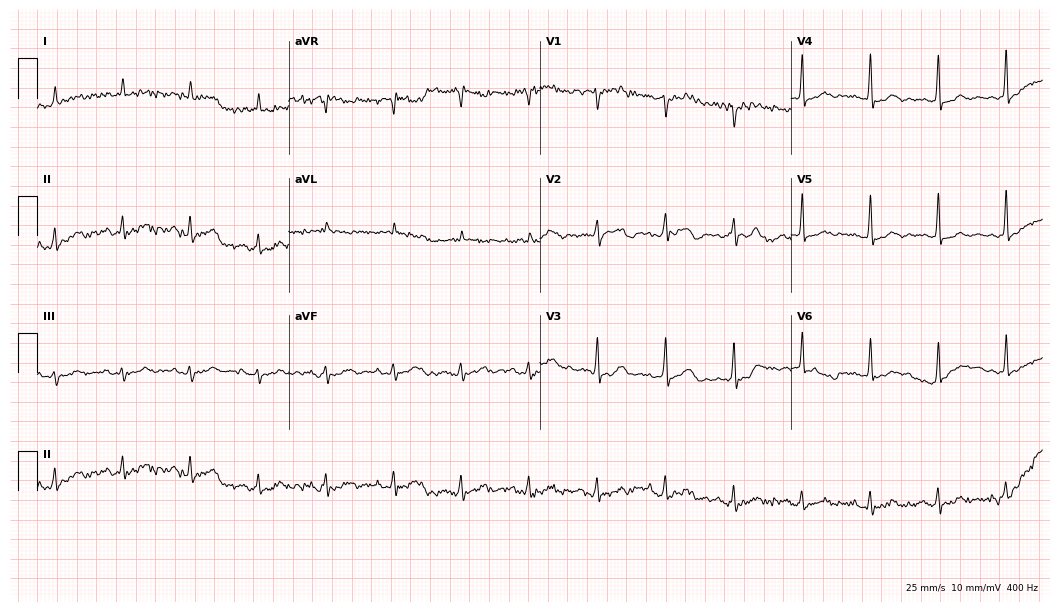
ECG — a 59-year-old man. Labelled as a normal ECG.